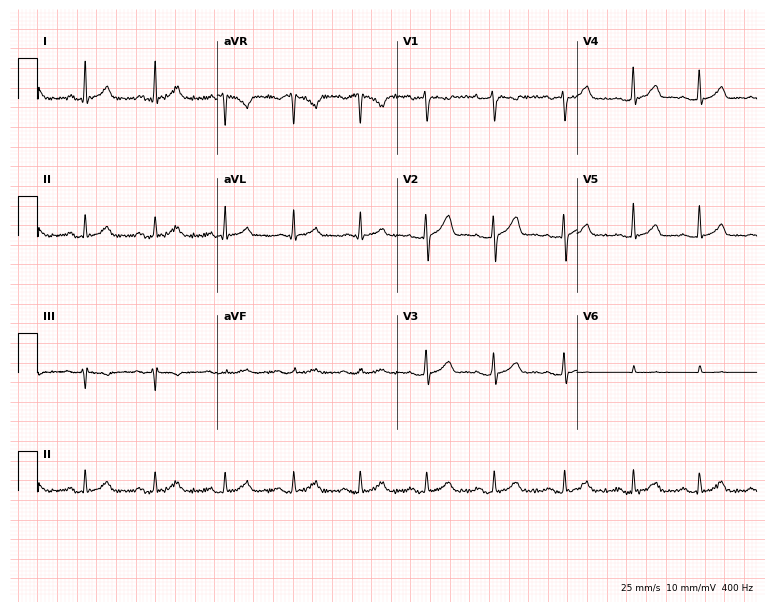
ECG — a male, 28 years old. Labelled as a normal ECG.